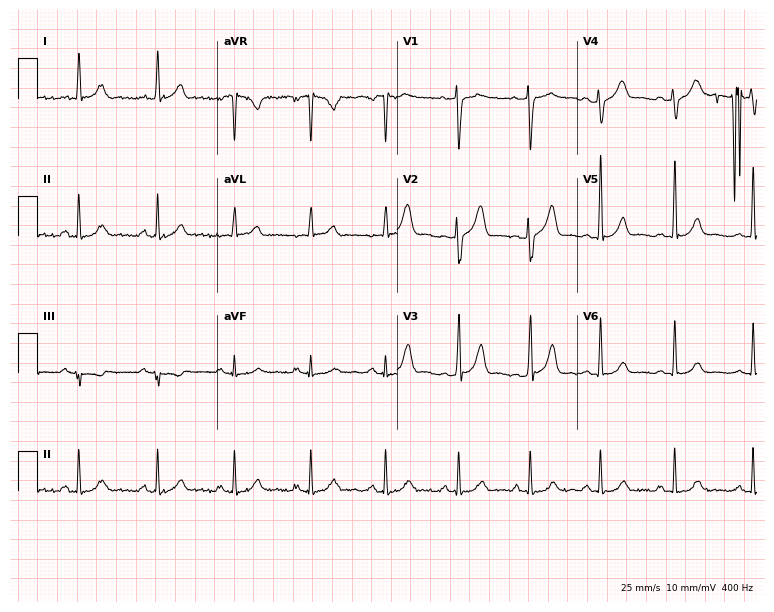
12-lead ECG (7.3-second recording at 400 Hz) from a 32-year-old female patient. Screened for six findings — first-degree AV block, right bundle branch block (RBBB), left bundle branch block (LBBB), sinus bradycardia, atrial fibrillation (AF), sinus tachycardia — none is recorded.